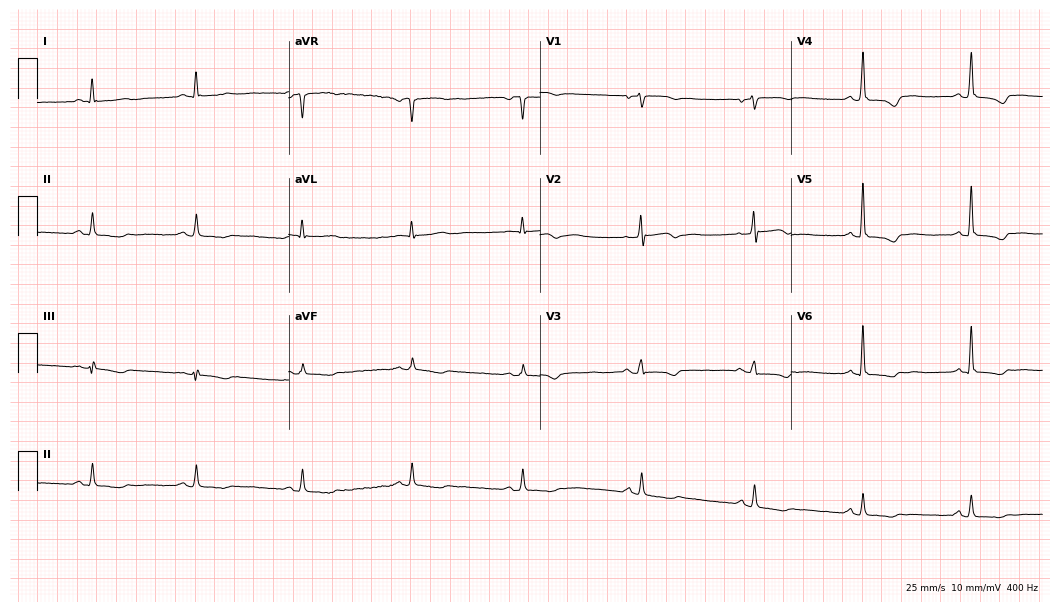
12-lead ECG from a woman, 49 years old. No first-degree AV block, right bundle branch block, left bundle branch block, sinus bradycardia, atrial fibrillation or sinus tachycardia recorded for this tracing.